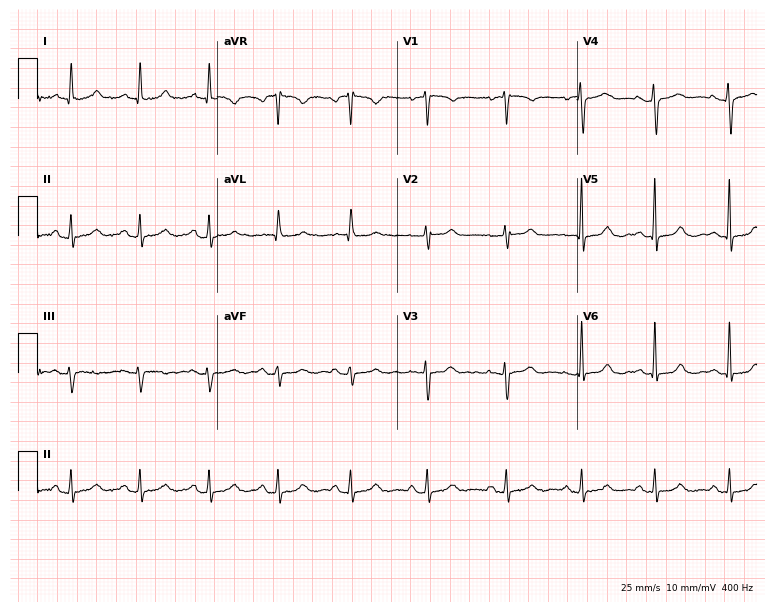
Resting 12-lead electrocardiogram (7.3-second recording at 400 Hz). Patient: a female, 49 years old. None of these six findings is recorded: first-degree AV block, right bundle branch block, left bundle branch block, sinus bradycardia, atrial fibrillation, sinus tachycardia.